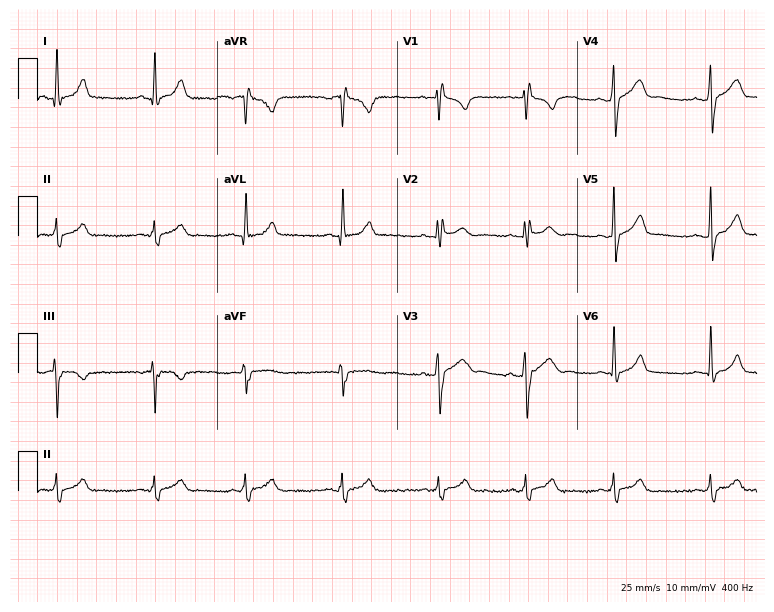
12-lead ECG from a 28-year-old male. No first-degree AV block, right bundle branch block, left bundle branch block, sinus bradycardia, atrial fibrillation or sinus tachycardia recorded for this tracing.